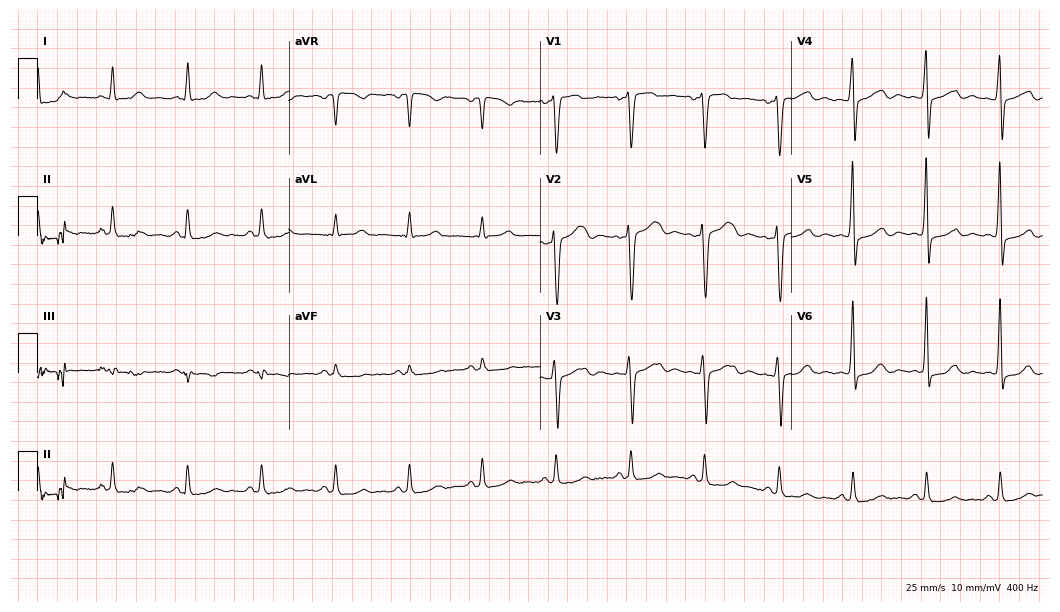
12-lead ECG from a 46-year-old man. Recorded interpretation: within normal limits.